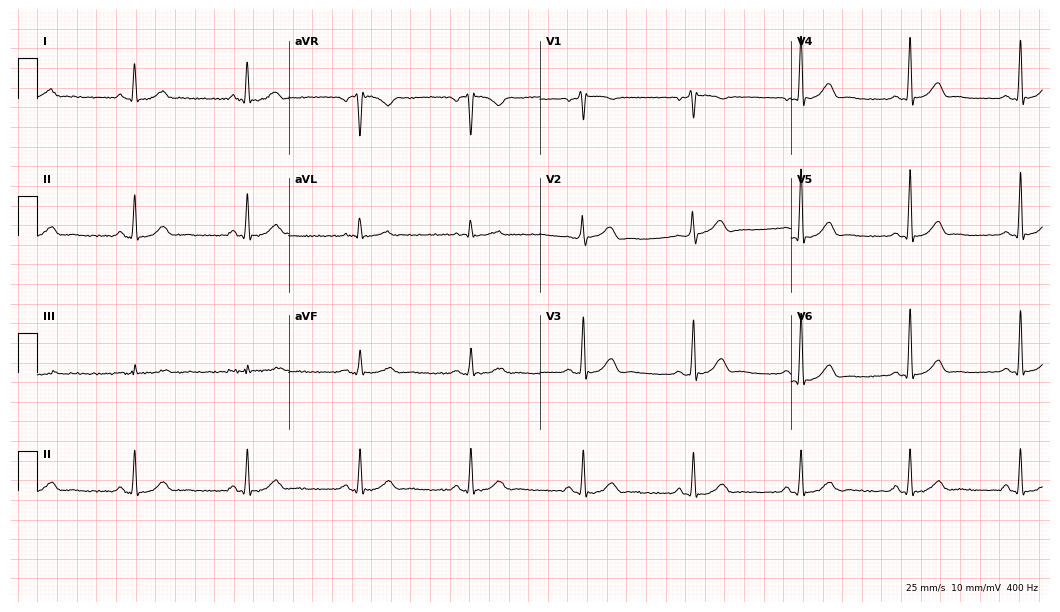
Resting 12-lead electrocardiogram (10.2-second recording at 400 Hz). Patient: a 60-year-old male. Read as a normal ECG.